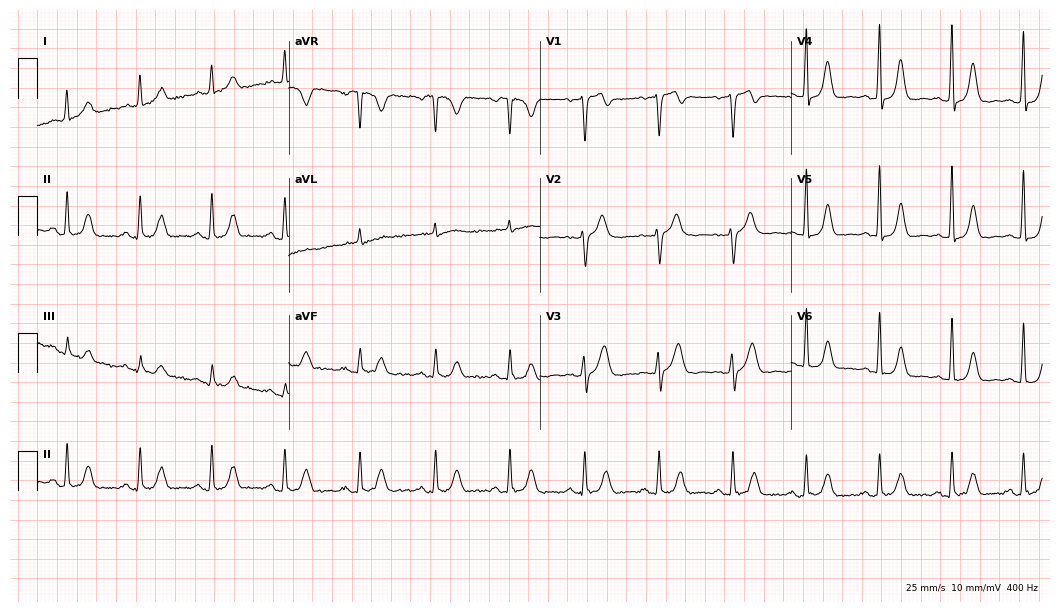
12-lead ECG (10.2-second recording at 400 Hz) from a female patient, 62 years old. Labelled as a normal ECG.